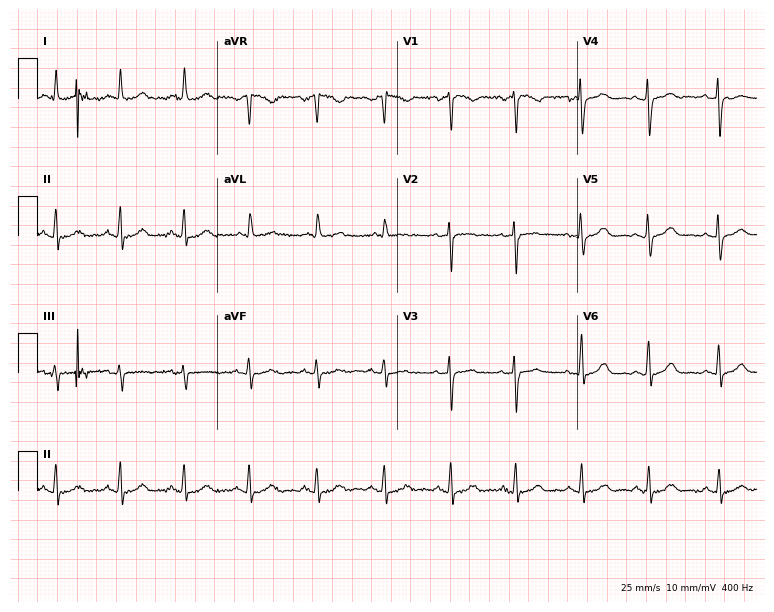
Standard 12-lead ECG recorded from an 82-year-old female patient (7.3-second recording at 400 Hz). Read as a normal ECG.